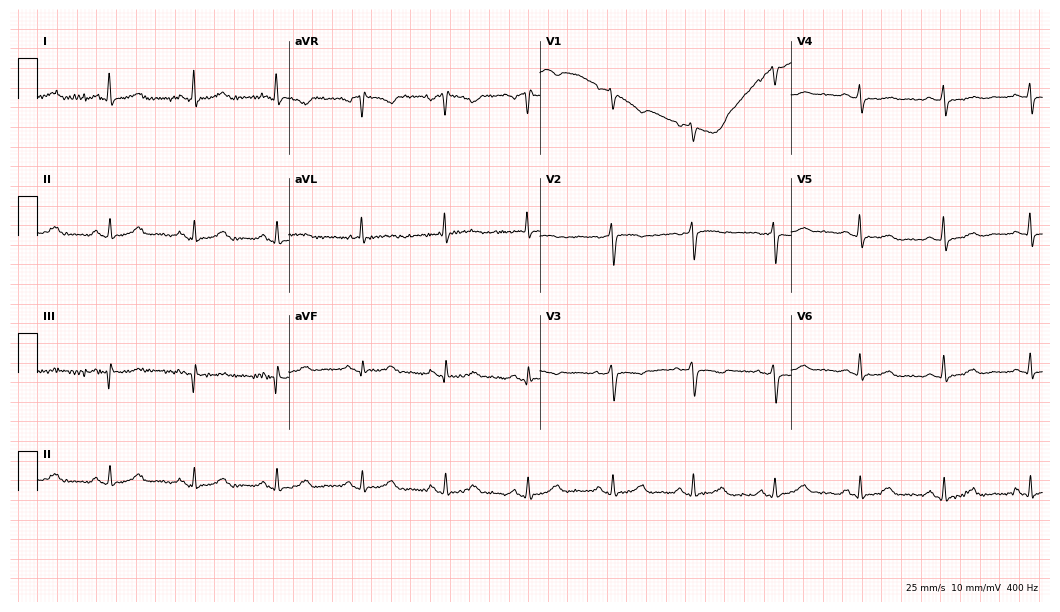
12-lead ECG from a woman, 58 years old. Screened for six findings — first-degree AV block, right bundle branch block (RBBB), left bundle branch block (LBBB), sinus bradycardia, atrial fibrillation (AF), sinus tachycardia — none is recorded.